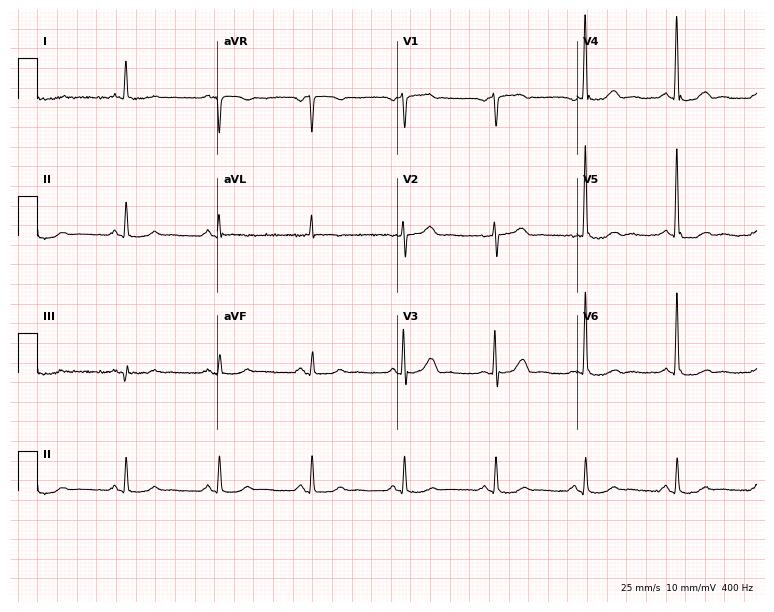
Resting 12-lead electrocardiogram (7.3-second recording at 400 Hz). Patient: a male, 66 years old. None of these six findings is recorded: first-degree AV block, right bundle branch block, left bundle branch block, sinus bradycardia, atrial fibrillation, sinus tachycardia. Only these six findings were labelled.